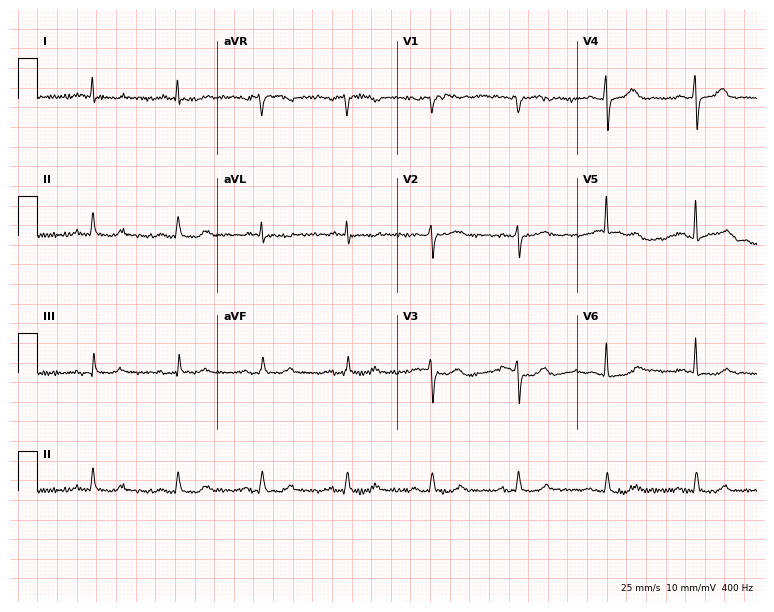
Electrocardiogram, a 67-year-old man. Of the six screened findings (first-degree AV block, right bundle branch block (RBBB), left bundle branch block (LBBB), sinus bradycardia, atrial fibrillation (AF), sinus tachycardia), none is recorded. Other findings, if any, are not listed.